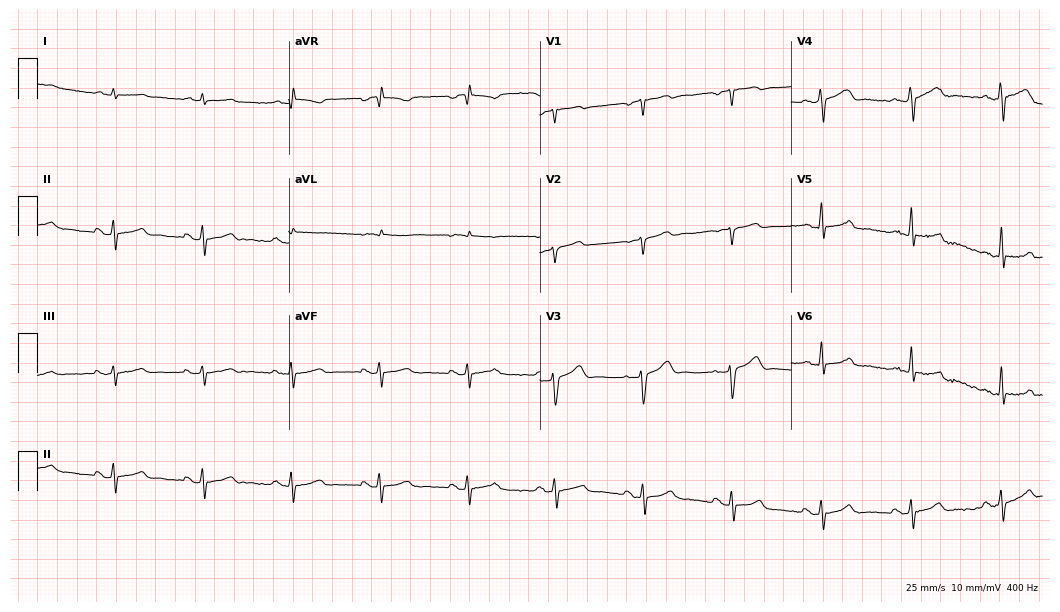
ECG (10.2-second recording at 400 Hz) — a man, 71 years old. Screened for six findings — first-degree AV block, right bundle branch block (RBBB), left bundle branch block (LBBB), sinus bradycardia, atrial fibrillation (AF), sinus tachycardia — none is recorded.